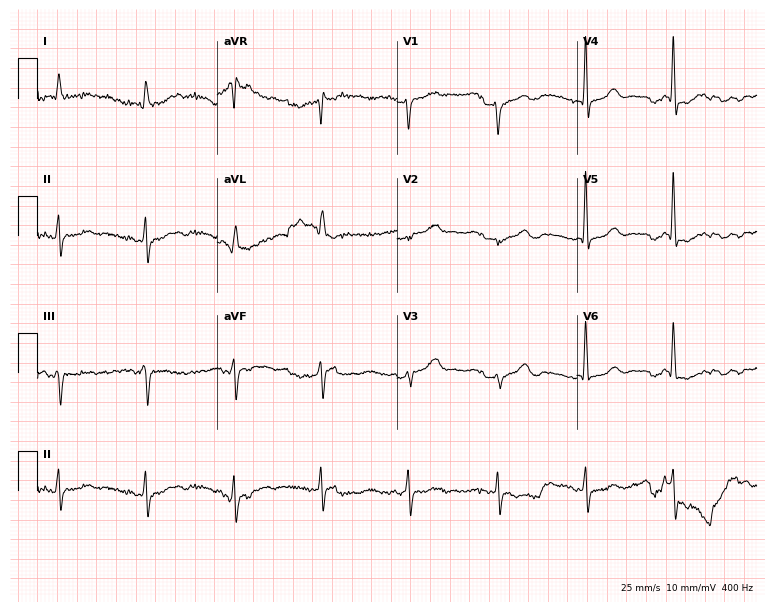
Electrocardiogram (7.3-second recording at 400 Hz), a male, 83 years old. Of the six screened findings (first-degree AV block, right bundle branch block, left bundle branch block, sinus bradycardia, atrial fibrillation, sinus tachycardia), none is recorded. Findings outside these six are not listed.